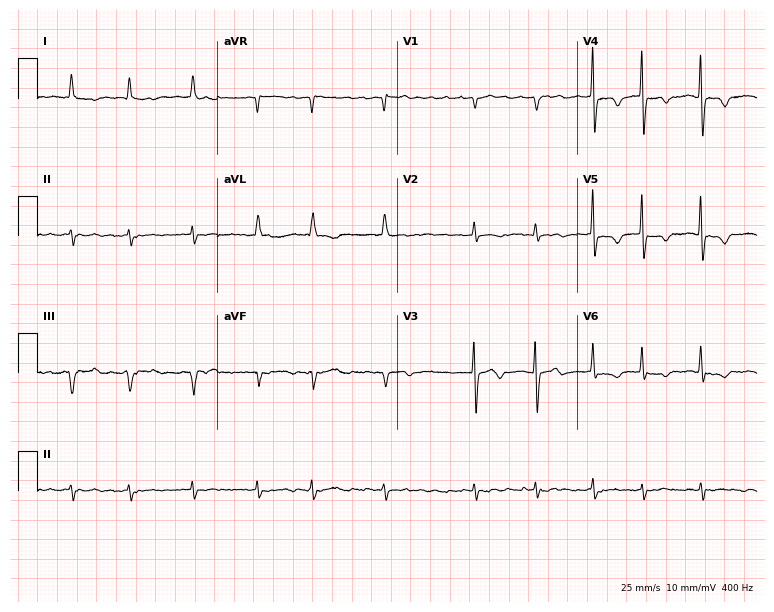
12-lead ECG from a male patient, 68 years old (7.3-second recording at 400 Hz). Shows atrial fibrillation.